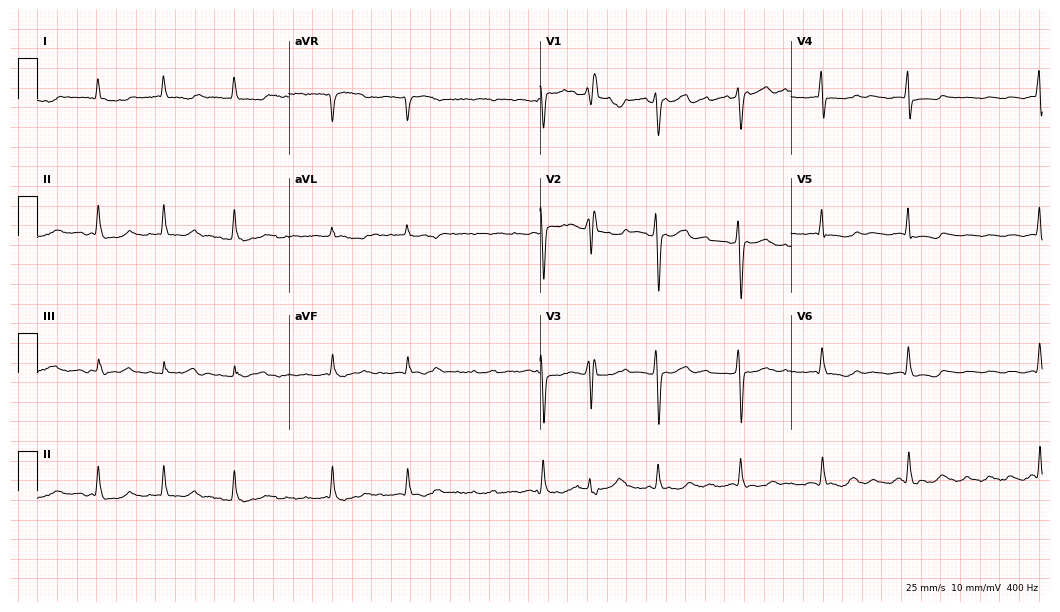
12-lead ECG from a female patient, 62 years old (10.2-second recording at 400 Hz). Shows atrial fibrillation.